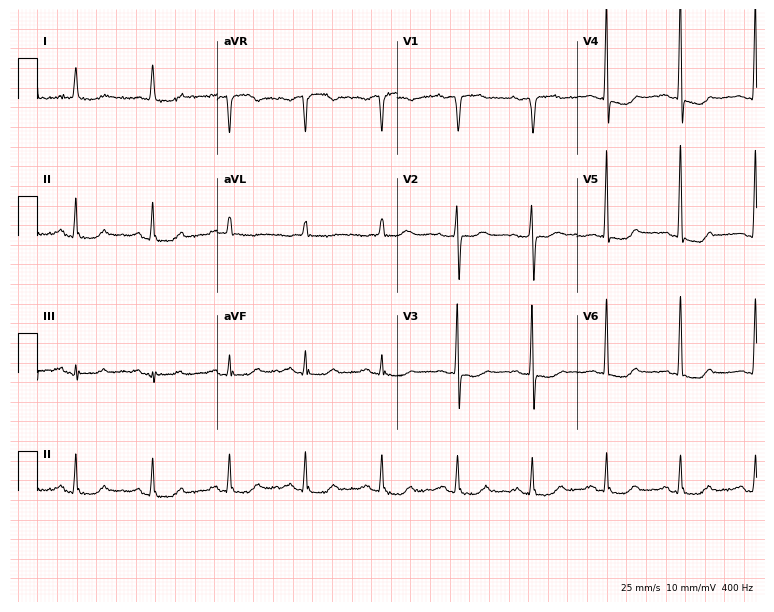
Electrocardiogram, a woman, 77 years old. Of the six screened findings (first-degree AV block, right bundle branch block (RBBB), left bundle branch block (LBBB), sinus bradycardia, atrial fibrillation (AF), sinus tachycardia), none is recorded. Findings outside these six are not listed.